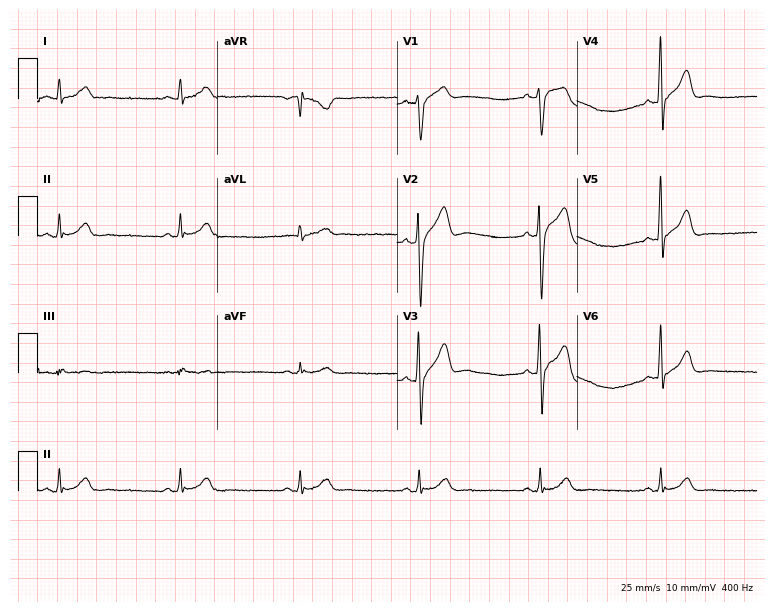
Electrocardiogram, a male, 38 years old. Interpretation includes sinus bradycardia (a sinus rate of 50 beats per minute or less).